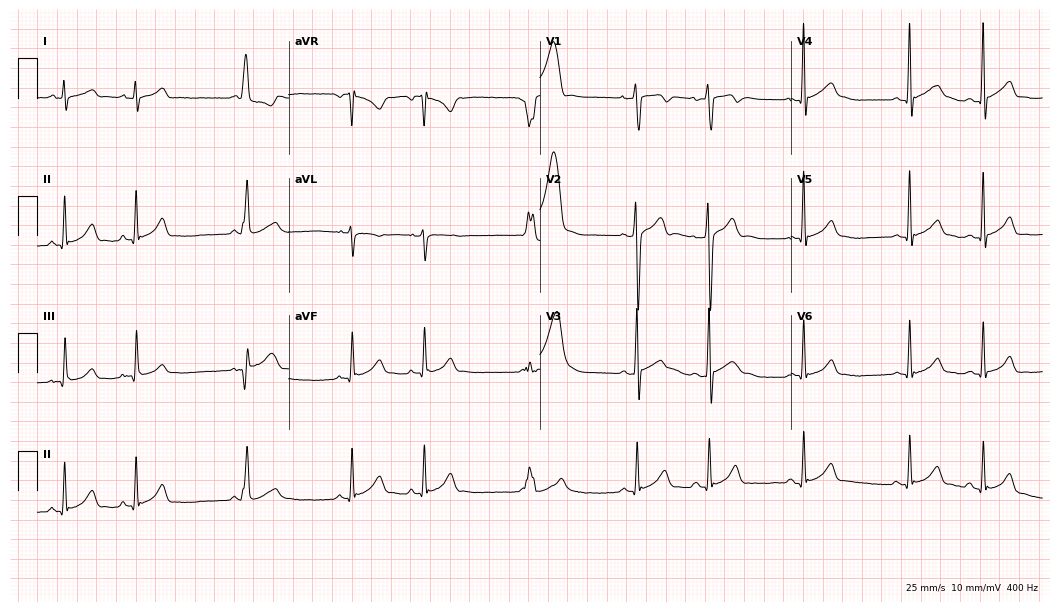
ECG — a man, 19 years old. Labelled as a normal ECG.